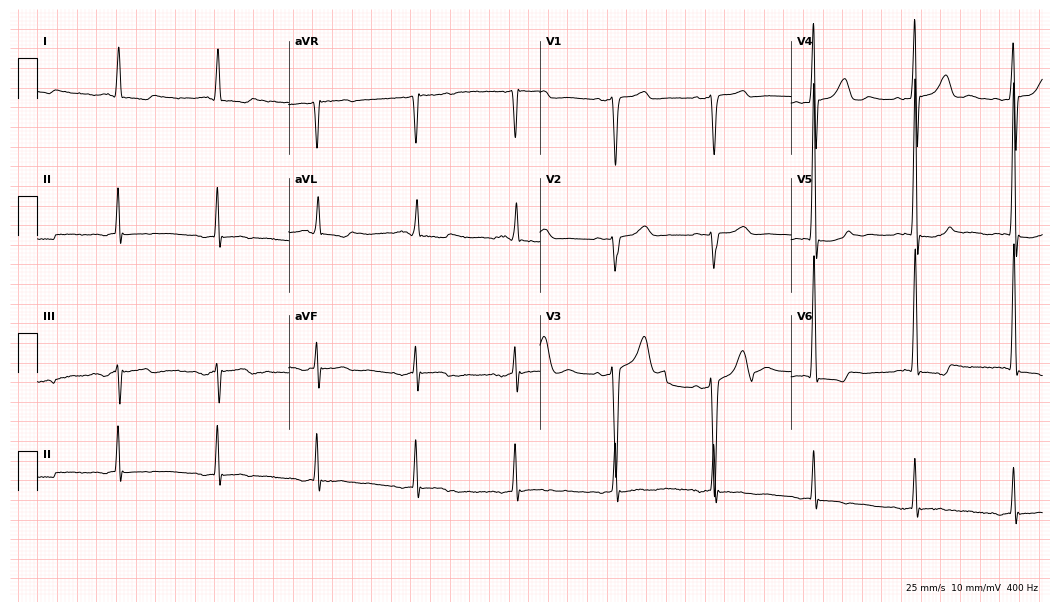
Standard 12-lead ECG recorded from a male patient, 80 years old. None of these six findings is recorded: first-degree AV block, right bundle branch block (RBBB), left bundle branch block (LBBB), sinus bradycardia, atrial fibrillation (AF), sinus tachycardia.